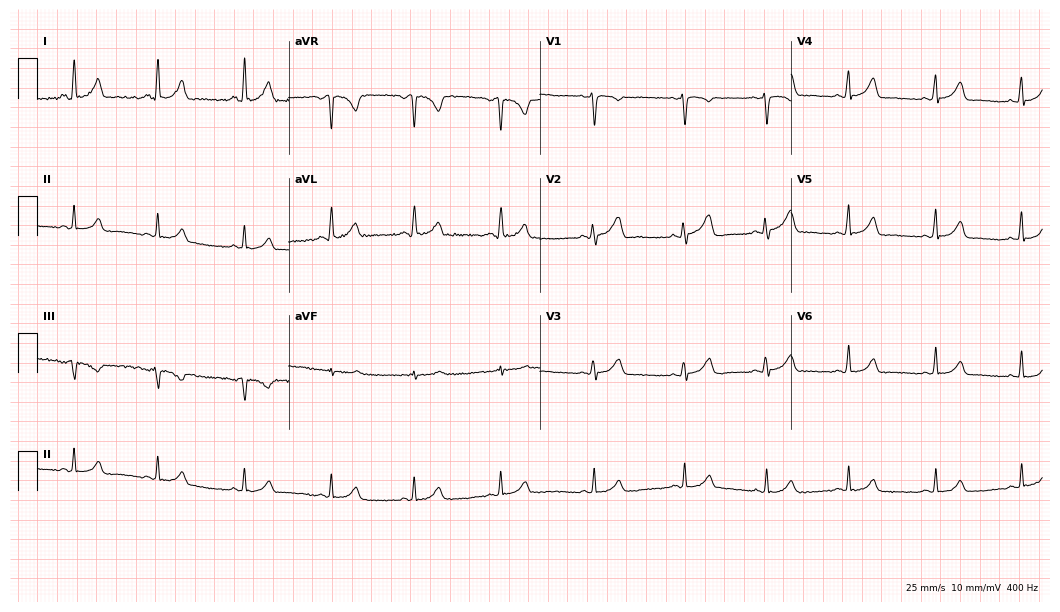
ECG (10.2-second recording at 400 Hz) — a female patient, 33 years old. Labelled as a normal ECG.